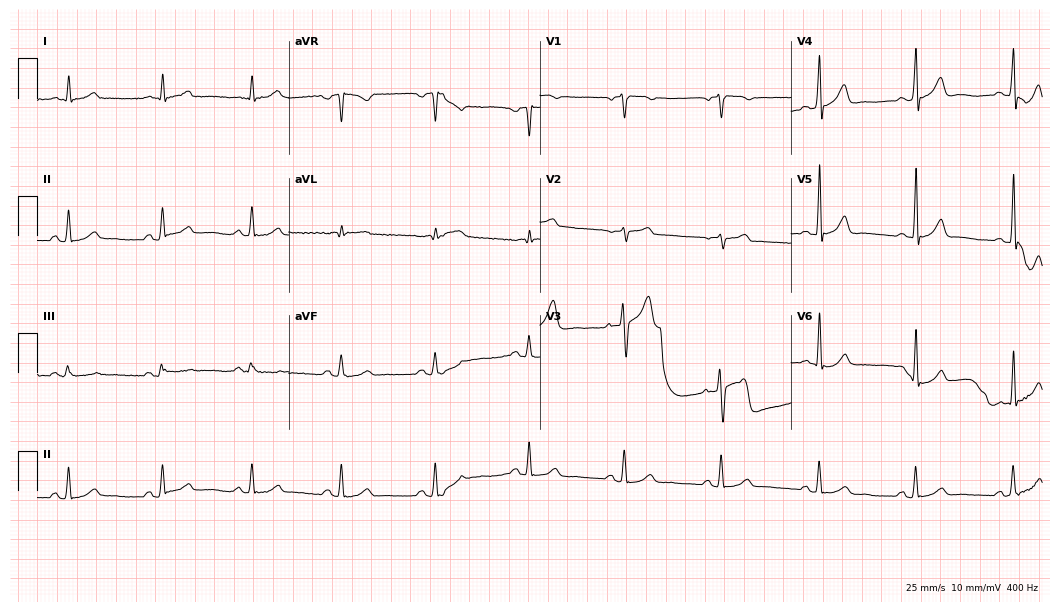
Electrocardiogram, a male, 74 years old. Of the six screened findings (first-degree AV block, right bundle branch block, left bundle branch block, sinus bradycardia, atrial fibrillation, sinus tachycardia), none is recorded. Findings outside these six are not listed.